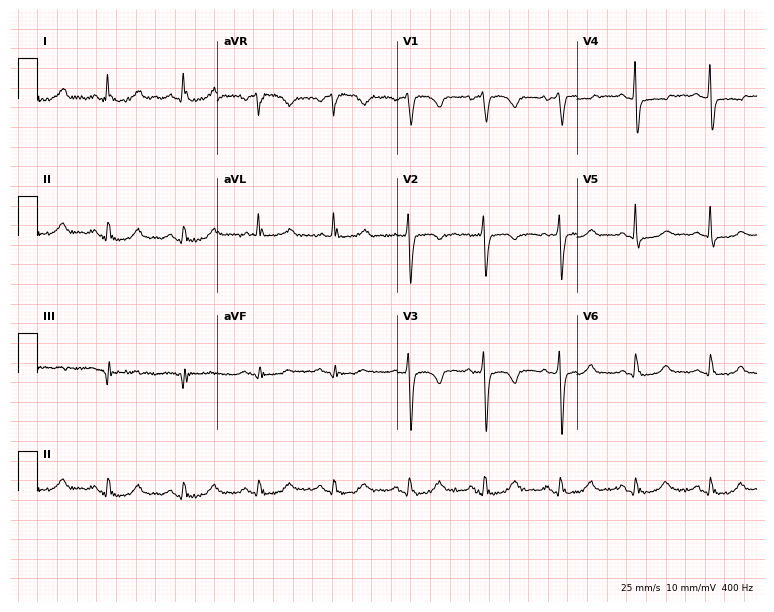
12-lead ECG from a female, 63 years old. Recorded interpretation: within normal limits.